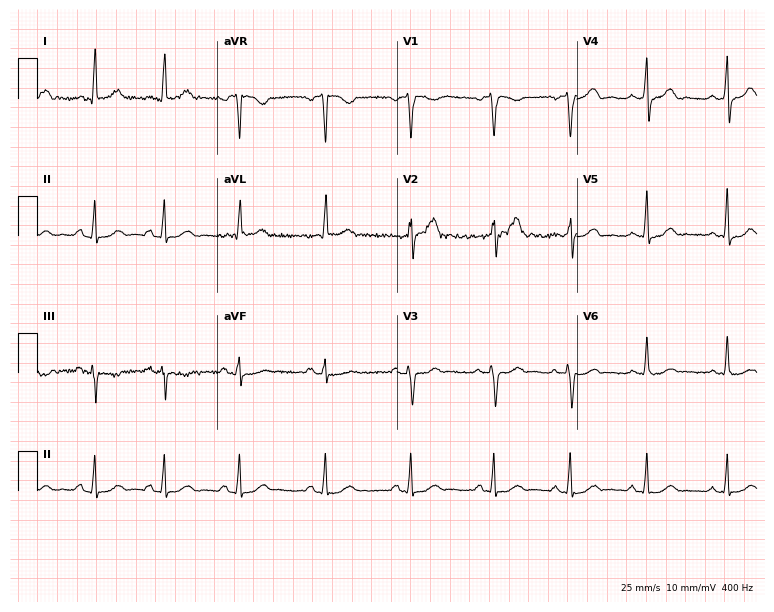
Resting 12-lead electrocardiogram. Patient: a 31-year-old female. None of these six findings is recorded: first-degree AV block, right bundle branch block, left bundle branch block, sinus bradycardia, atrial fibrillation, sinus tachycardia. Other findings, if any, are not listed.